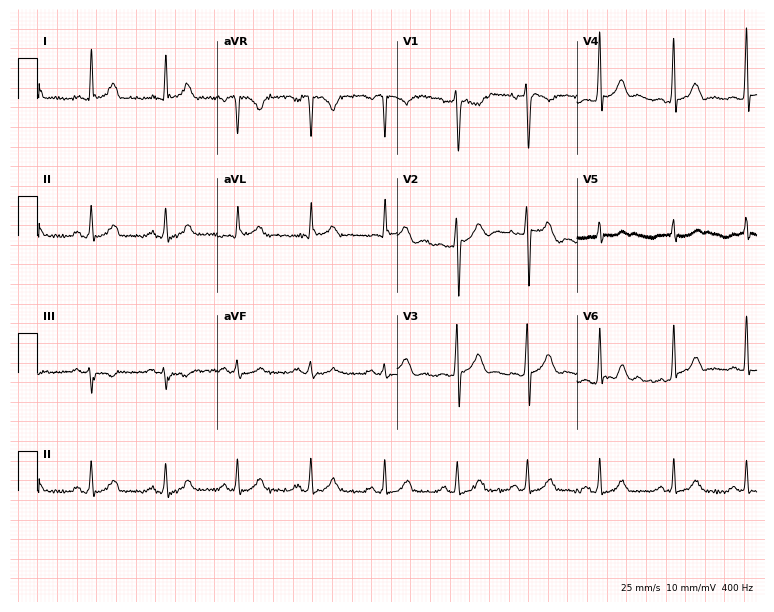
12-lead ECG (7.3-second recording at 400 Hz) from a man, 24 years old. Labelled as a normal ECG.